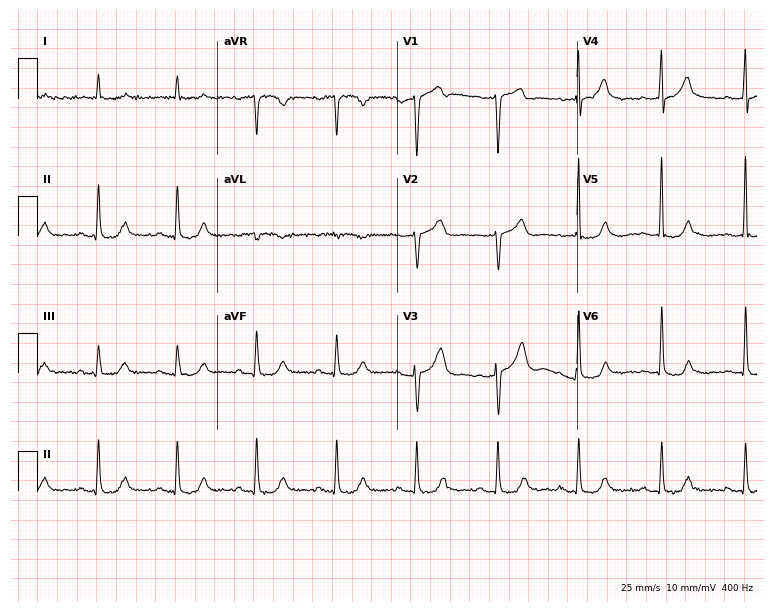
Electrocardiogram (7.3-second recording at 400 Hz), a 79-year-old male. Of the six screened findings (first-degree AV block, right bundle branch block, left bundle branch block, sinus bradycardia, atrial fibrillation, sinus tachycardia), none is recorded. Only these six findings were labelled.